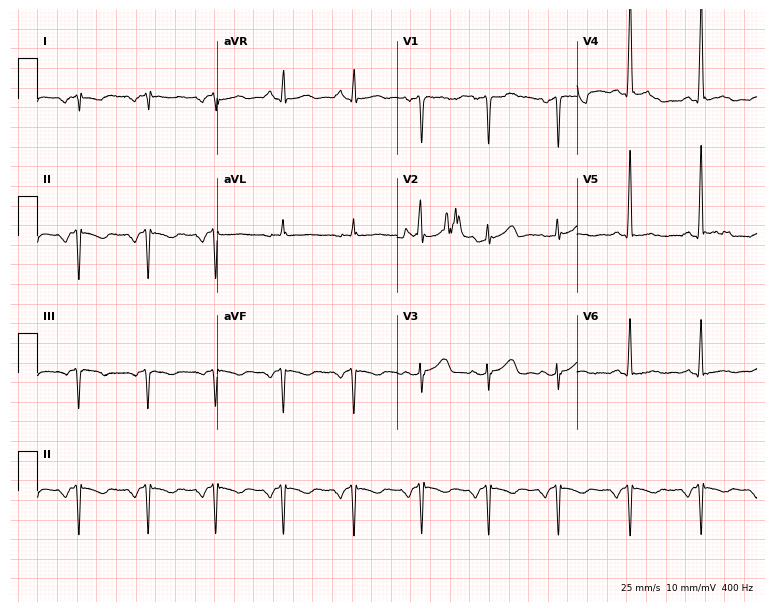
Resting 12-lead electrocardiogram (7.3-second recording at 400 Hz). Patient: a 44-year-old female. None of these six findings is recorded: first-degree AV block, right bundle branch block (RBBB), left bundle branch block (LBBB), sinus bradycardia, atrial fibrillation (AF), sinus tachycardia.